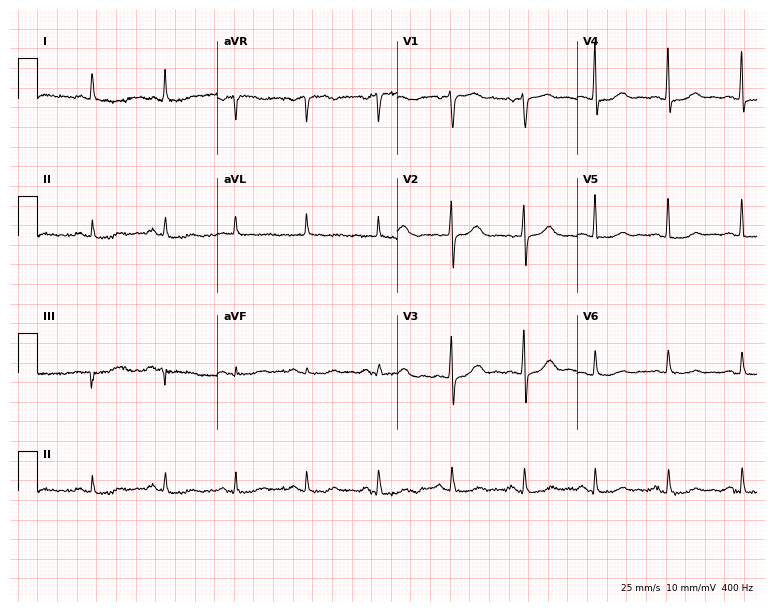
Standard 12-lead ECG recorded from a 64-year-old woman. Read as a normal ECG.